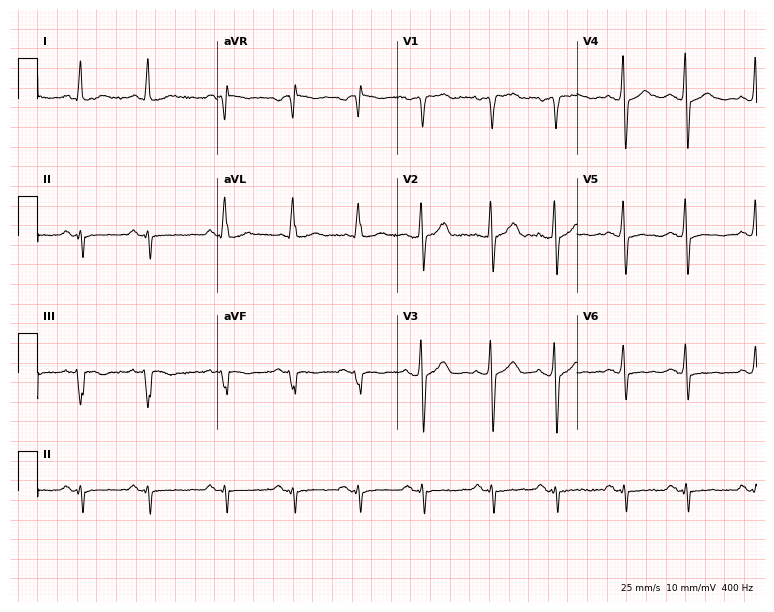
ECG — a 47-year-old male. Screened for six findings — first-degree AV block, right bundle branch block, left bundle branch block, sinus bradycardia, atrial fibrillation, sinus tachycardia — none is recorded. Findings outside these six are not listed.